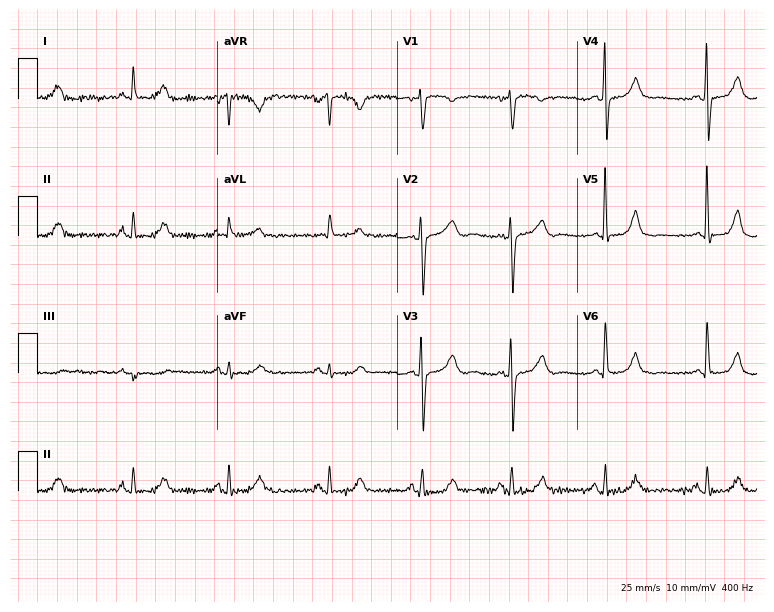
12-lead ECG (7.3-second recording at 400 Hz) from a female patient, 60 years old. Screened for six findings — first-degree AV block, right bundle branch block (RBBB), left bundle branch block (LBBB), sinus bradycardia, atrial fibrillation (AF), sinus tachycardia — none is recorded. Other findings, if any, are not listed.